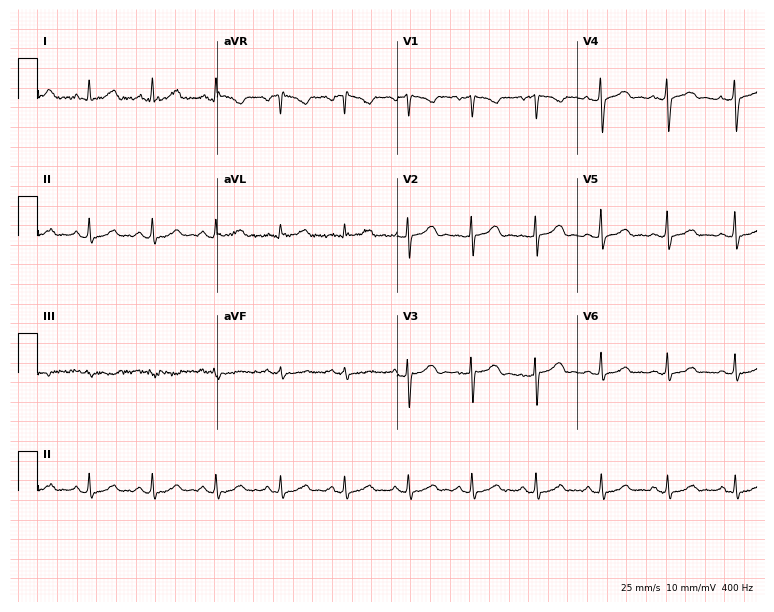
Resting 12-lead electrocardiogram. Patient: a 44-year-old woman. Read as a normal ECG.